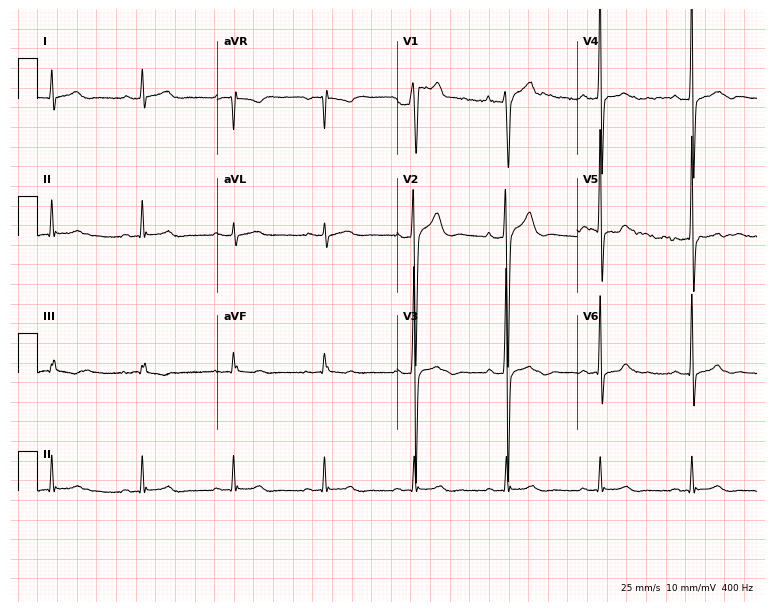
ECG — a 52-year-old male. Screened for six findings — first-degree AV block, right bundle branch block, left bundle branch block, sinus bradycardia, atrial fibrillation, sinus tachycardia — none is recorded. Other findings, if any, are not listed.